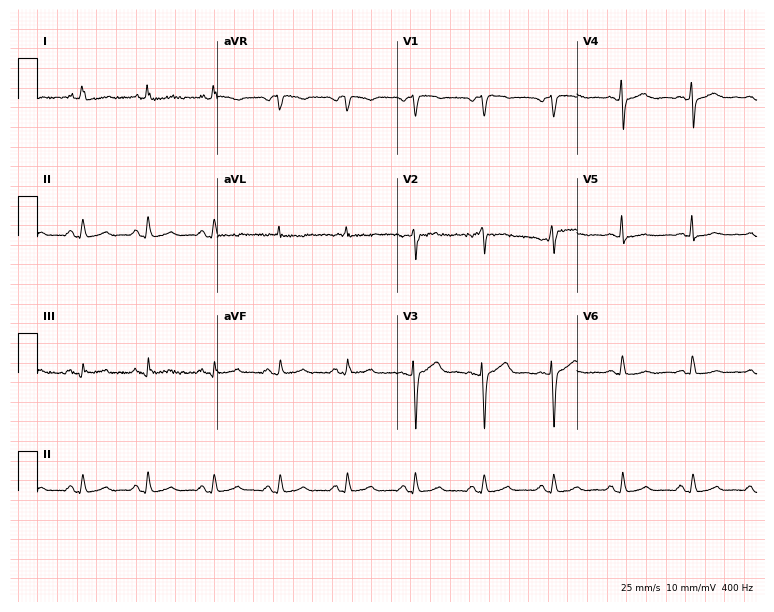
12-lead ECG from a 57-year-old woman. Screened for six findings — first-degree AV block, right bundle branch block, left bundle branch block, sinus bradycardia, atrial fibrillation, sinus tachycardia — none is recorded.